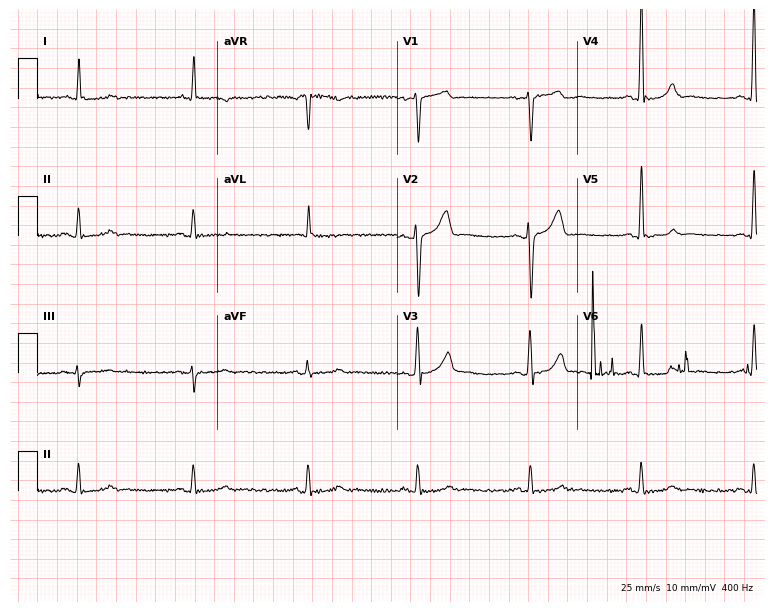
Electrocardiogram (7.3-second recording at 400 Hz), a male, 51 years old. Overall reading on record: normal ECG.